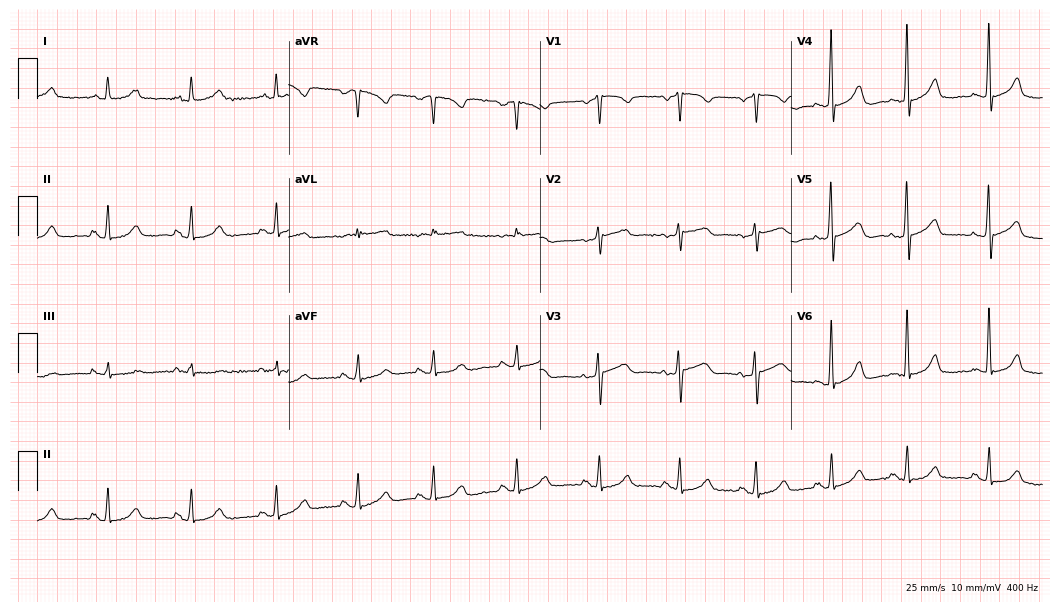
Resting 12-lead electrocardiogram. Patient: a woman, 63 years old. None of these six findings is recorded: first-degree AV block, right bundle branch block (RBBB), left bundle branch block (LBBB), sinus bradycardia, atrial fibrillation (AF), sinus tachycardia.